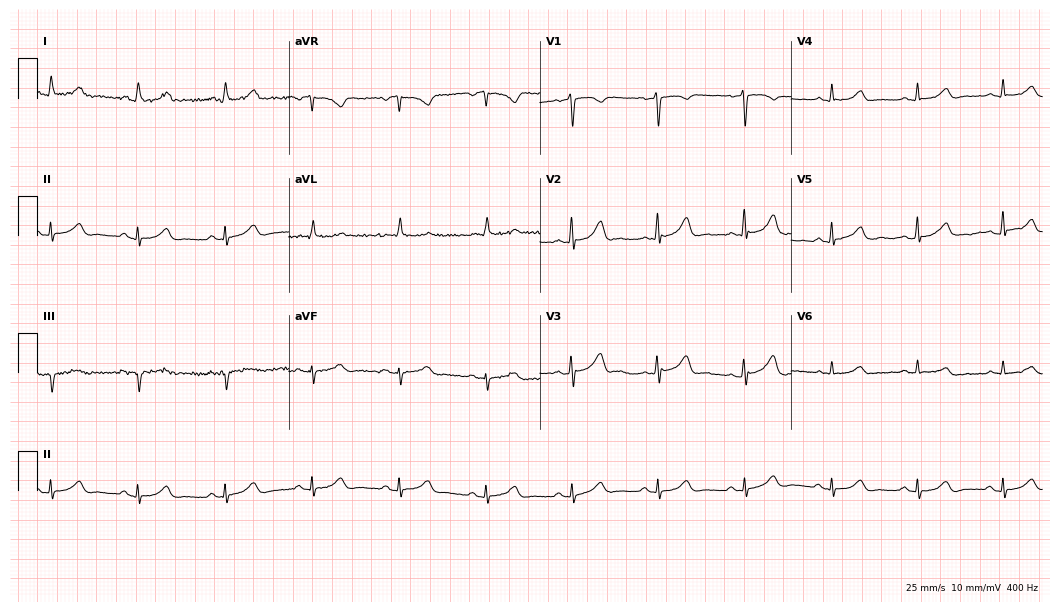
ECG — a 61-year-old man. Screened for six findings — first-degree AV block, right bundle branch block, left bundle branch block, sinus bradycardia, atrial fibrillation, sinus tachycardia — none is recorded.